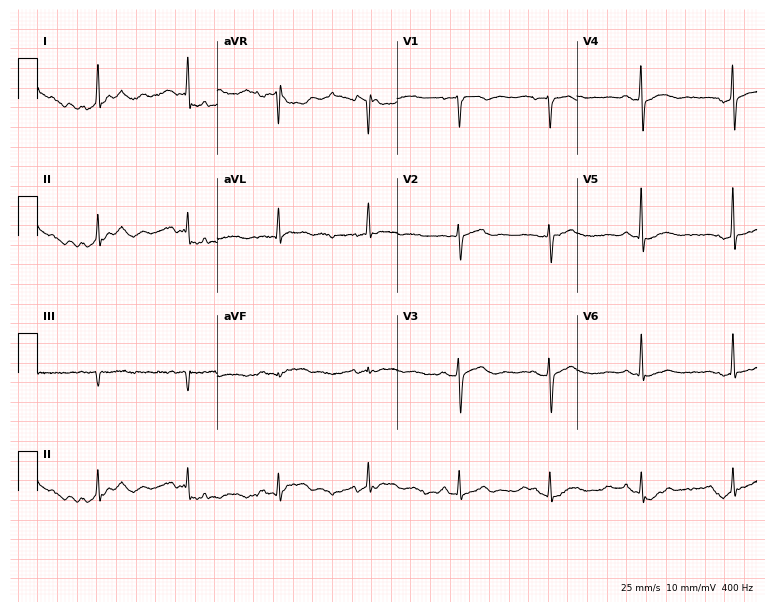
Electrocardiogram (7.3-second recording at 400 Hz), a 60-year-old woman. Overall reading on record: normal ECG.